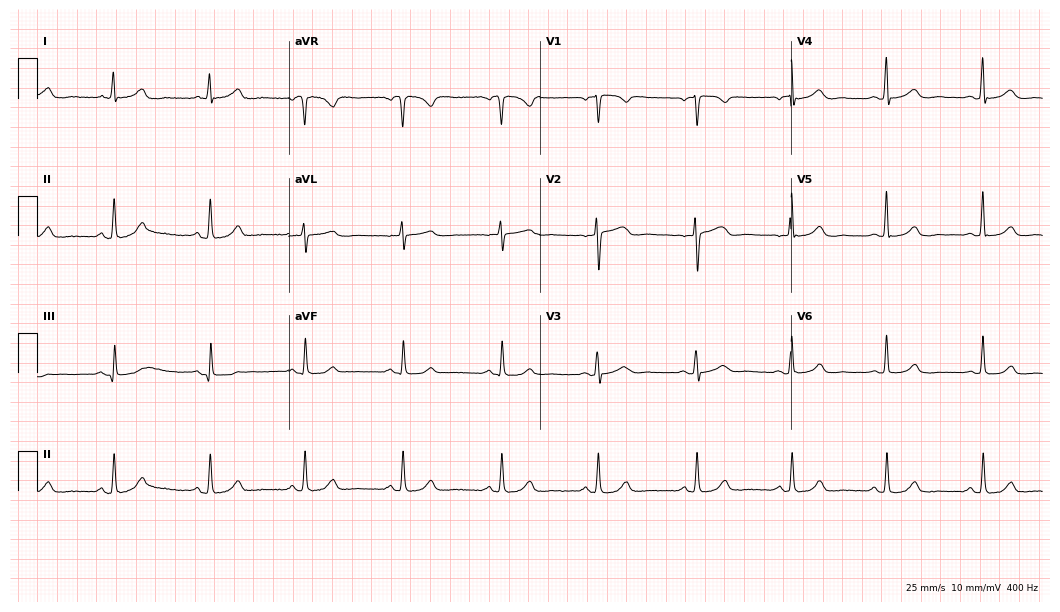
Standard 12-lead ECG recorded from a female, 55 years old (10.2-second recording at 400 Hz). None of these six findings is recorded: first-degree AV block, right bundle branch block, left bundle branch block, sinus bradycardia, atrial fibrillation, sinus tachycardia.